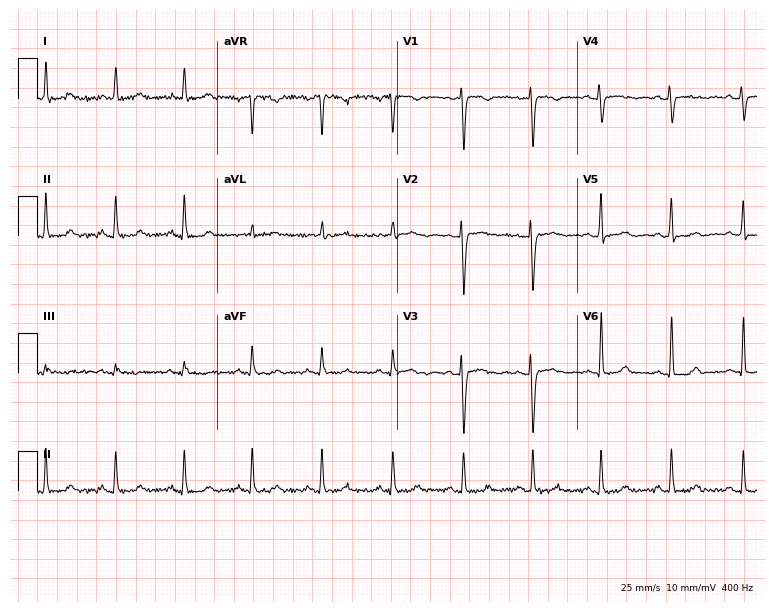
12-lead ECG from a female patient, 48 years old (7.3-second recording at 400 Hz). No first-degree AV block, right bundle branch block, left bundle branch block, sinus bradycardia, atrial fibrillation or sinus tachycardia recorded for this tracing.